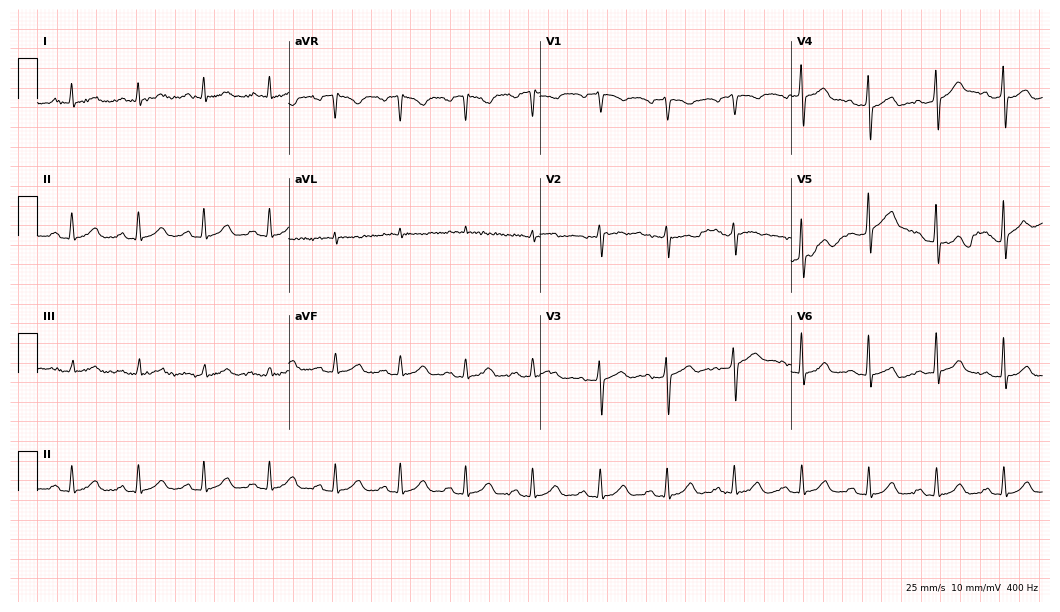
ECG (10.2-second recording at 400 Hz) — a male patient, 66 years old. Labelled as a normal ECG.